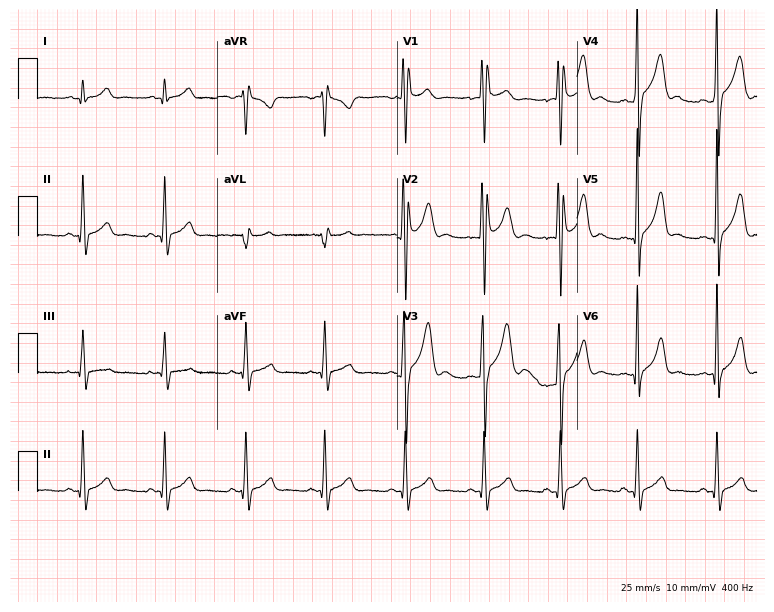
Electrocardiogram, a male, 20 years old. Of the six screened findings (first-degree AV block, right bundle branch block (RBBB), left bundle branch block (LBBB), sinus bradycardia, atrial fibrillation (AF), sinus tachycardia), none is recorded. Only these six findings were labelled.